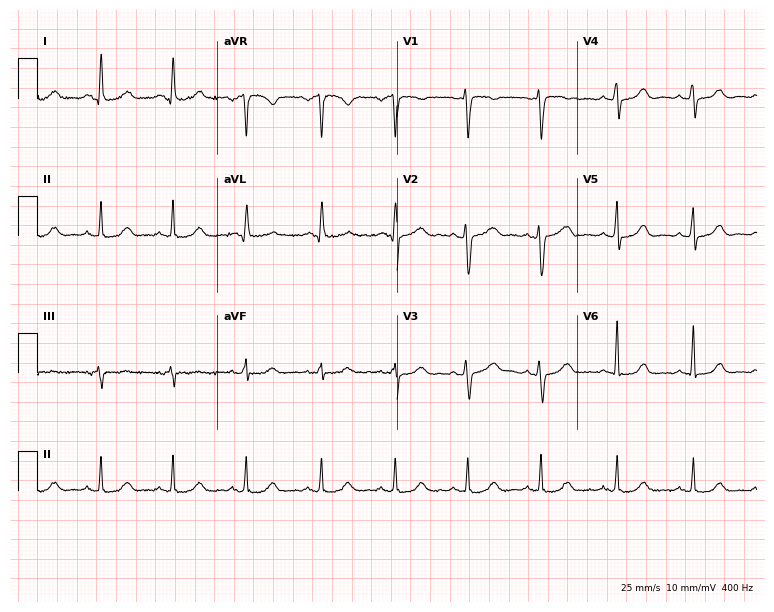
12-lead ECG from a 43-year-old female. Recorded interpretation: within normal limits.